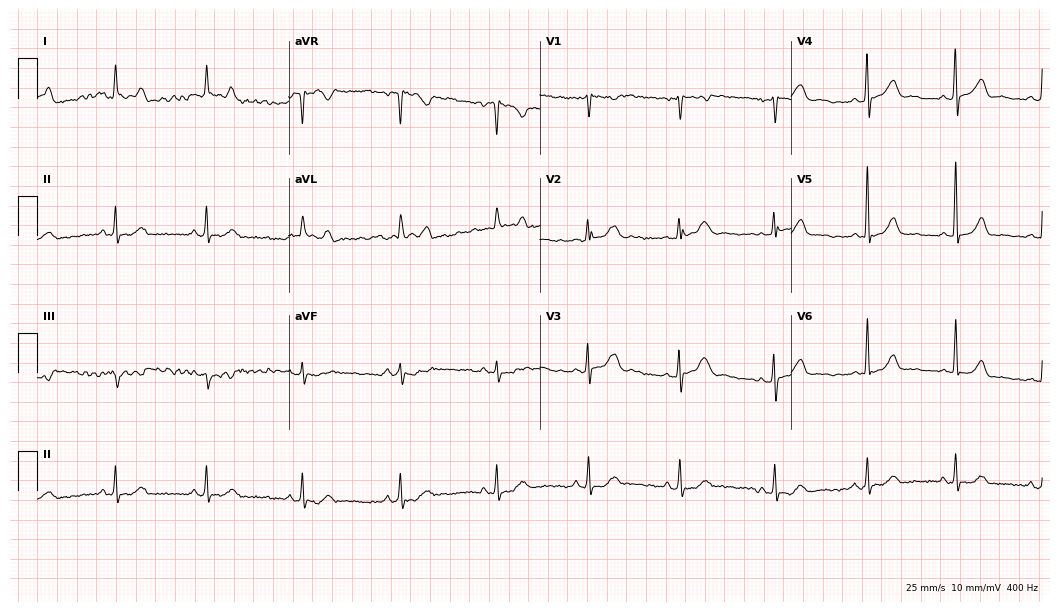
12-lead ECG from a 35-year-old woman. Screened for six findings — first-degree AV block, right bundle branch block (RBBB), left bundle branch block (LBBB), sinus bradycardia, atrial fibrillation (AF), sinus tachycardia — none is recorded. Other findings, if any, are not listed.